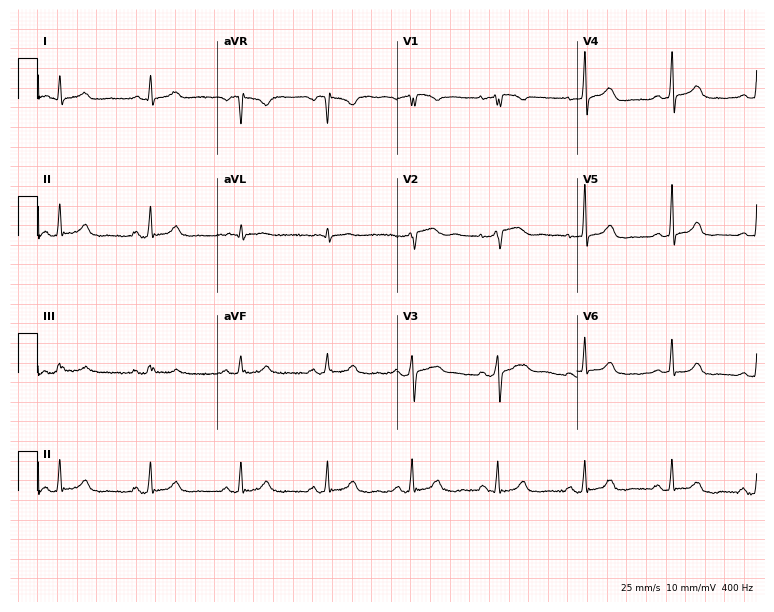
Standard 12-lead ECG recorded from a woman, 65 years old. Read as a normal ECG.